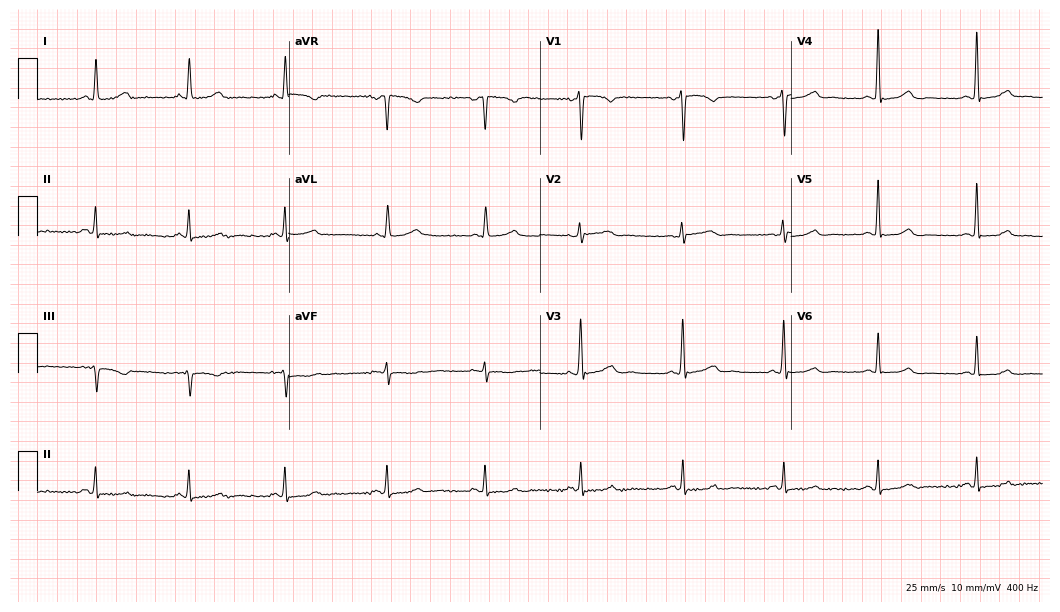
Resting 12-lead electrocardiogram (10.2-second recording at 400 Hz). Patient: a female, 50 years old. None of these six findings is recorded: first-degree AV block, right bundle branch block (RBBB), left bundle branch block (LBBB), sinus bradycardia, atrial fibrillation (AF), sinus tachycardia.